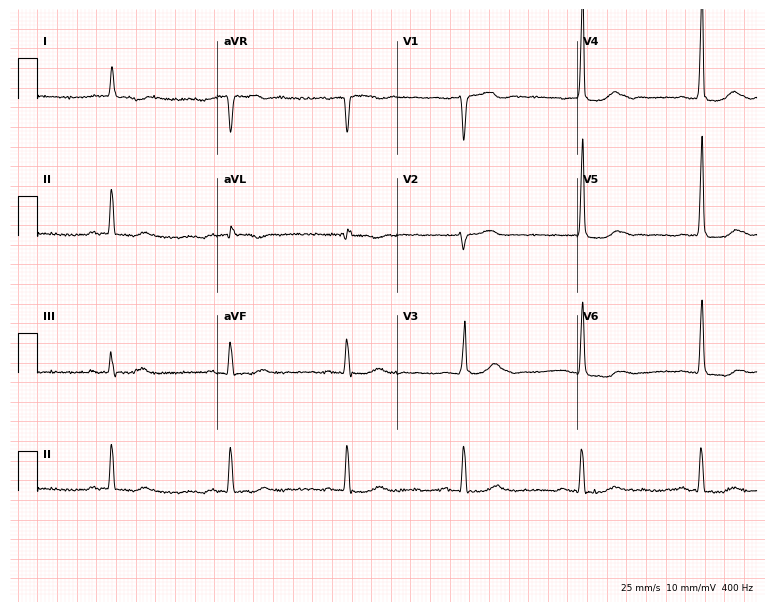
12-lead ECG (7.3-second recording at 400 Hz) from a 73-year-old female patient. Screened for six findings — first-degree AV block, right bundle branch block, left bundle branch block, sinus bradycardia, atrial fibrillation, sinus tachycardia — none is recorded. Other findings, if any, are not listed.